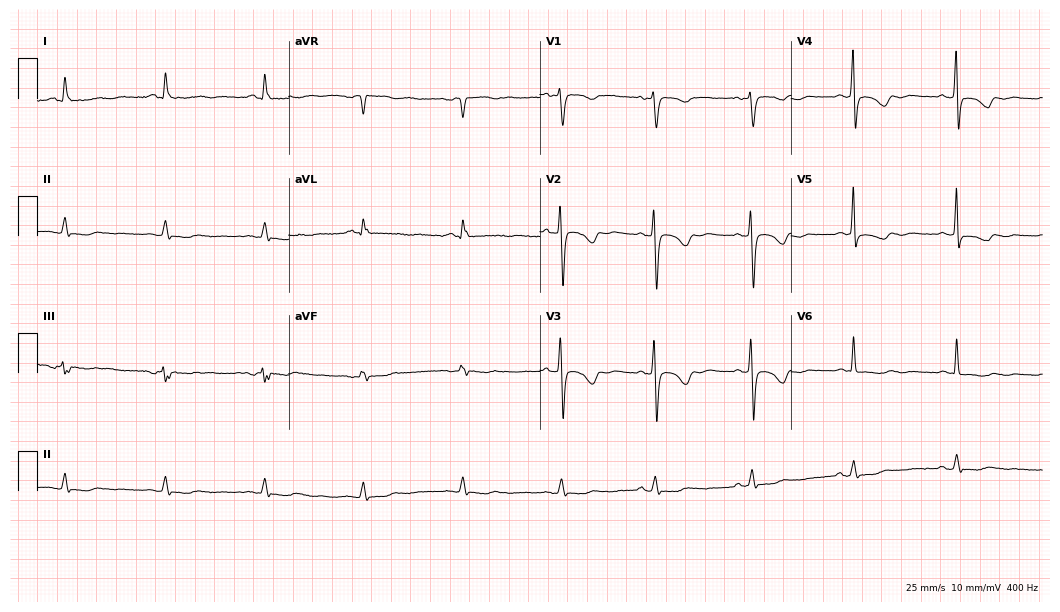
12-lead ECG from a 57-year-old woman. Screened for six findings — first-degree AV block, right bundle branch block, left bundle branch block, sinus bradycardia, atrial fibrillation, sinus tachycardia — none is recorded.